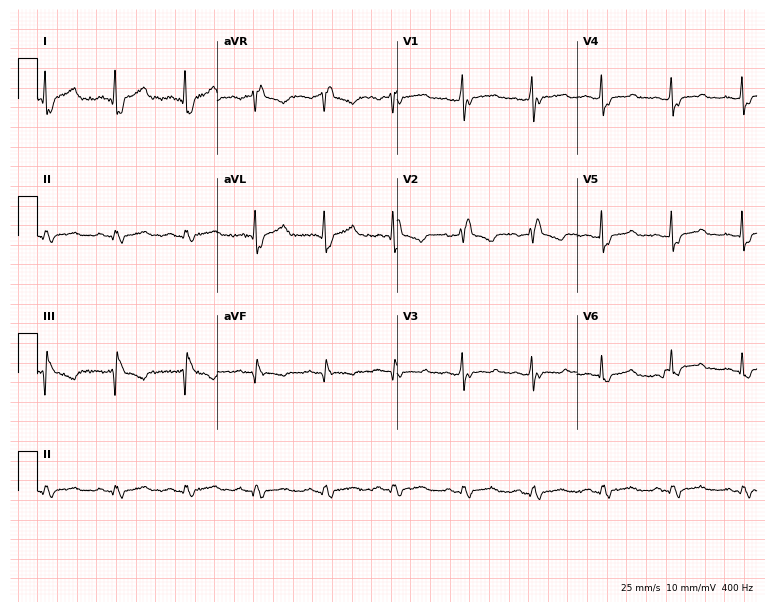
ECG (7.3-second recording at 400 Hz) — a 50-year-old male. Findings include right bundle branch block (RBBB).